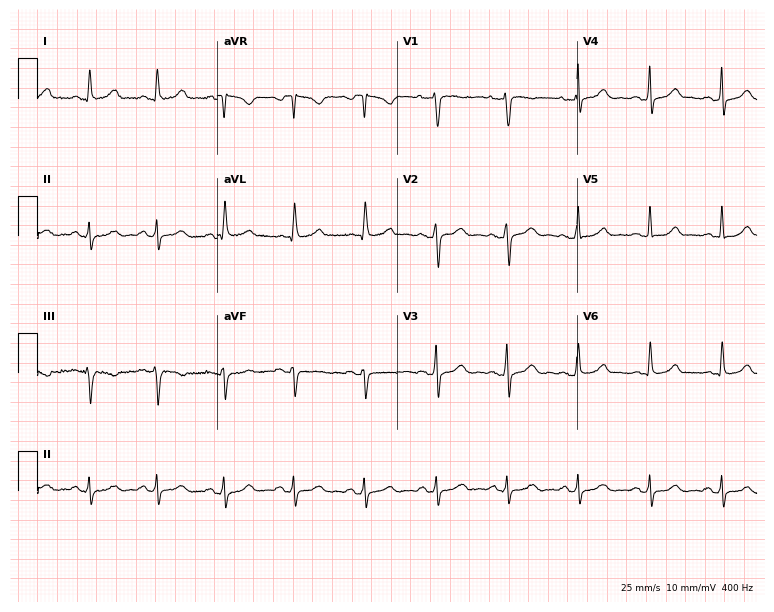
12-lead ECG from a woman, 54 years old. Recorded interpretation: within normal limits.